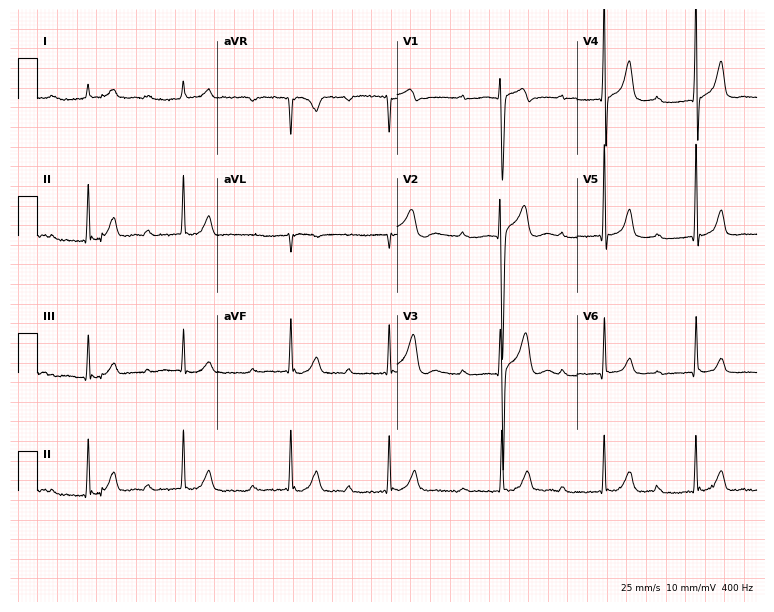
12-lead ECG from a man, 19 years old. Findings include first-degree AV block.